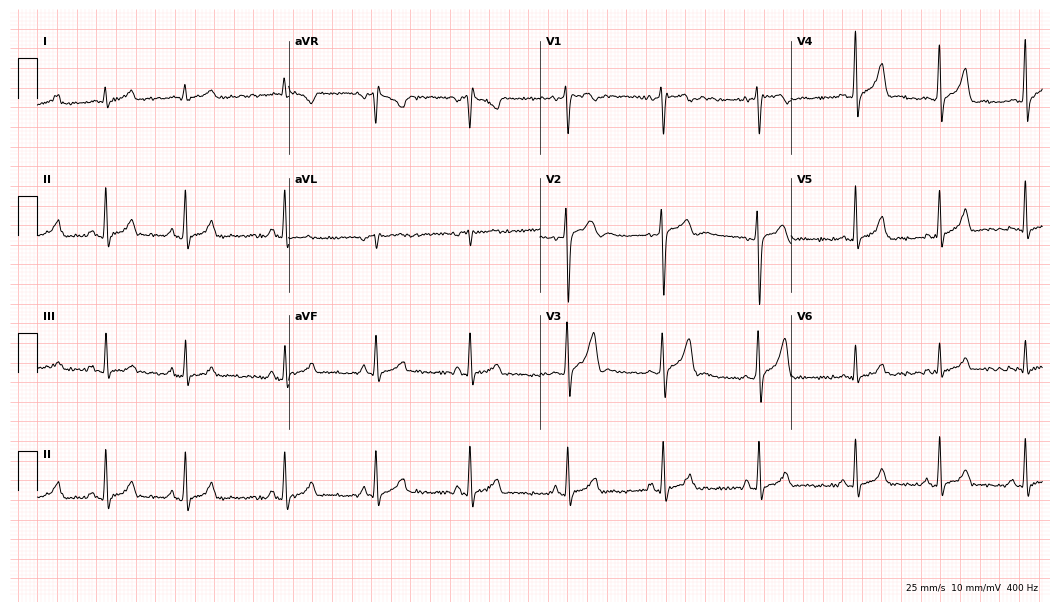
12-lead ECG from a 20-year-old male patient. Labelled as a normal ECG.